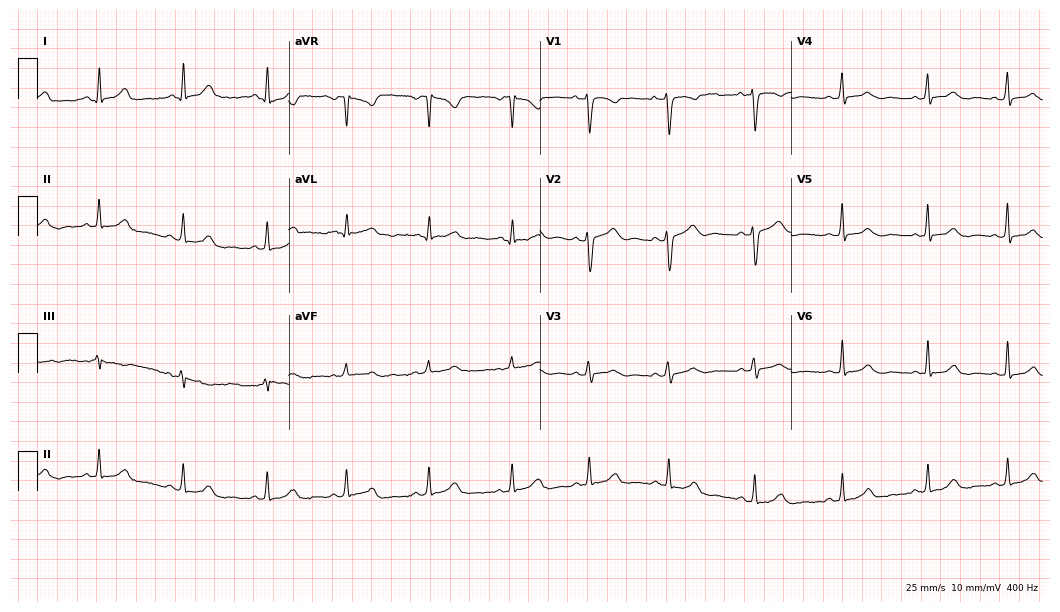
12-lead ECG from a 32-year-old female (10.2-second recording at 400 Hz). Recorded interpretation: within normal limits.